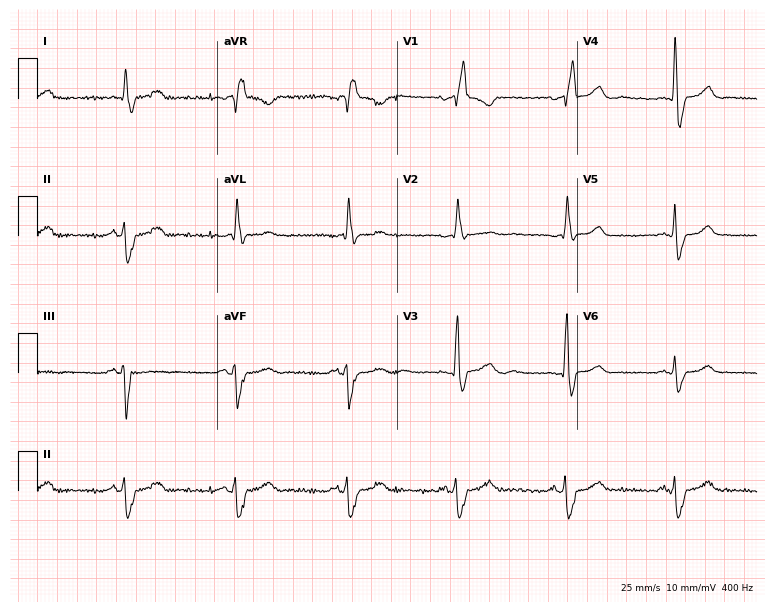
12-lead ECG from a 72-year-old man. Findings include right bundle branch block (RBBB).